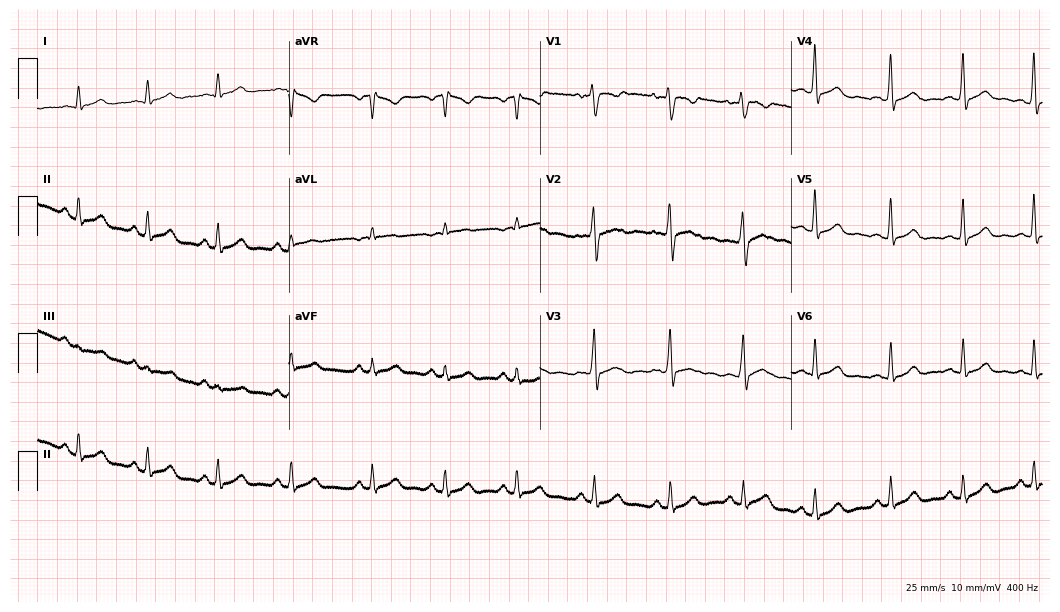
Standard 12-lead ECG recorded from a female, 24 years old (10.2-second recording at 400 Hz). Read as a normal ECG.